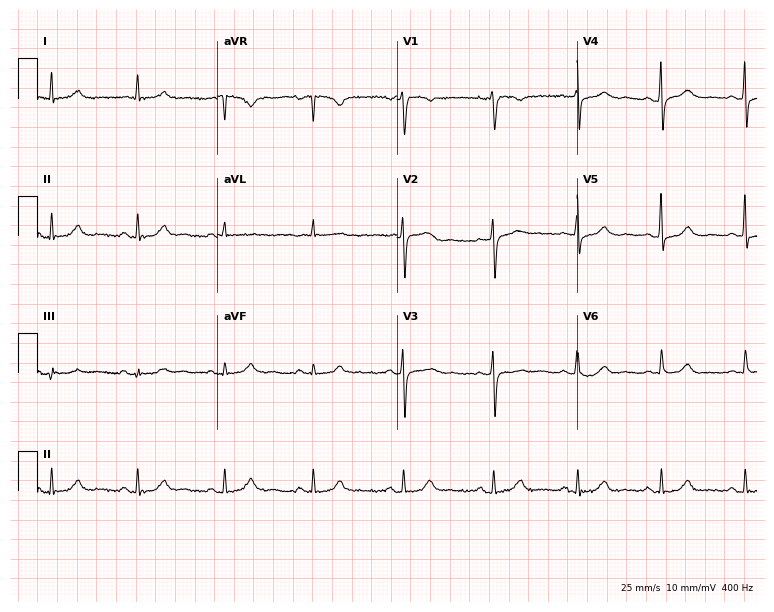
Resting 12-lead electrocardiogram. Patient: a female, 62 years old. None of these six findings is recorded: first-degree AV block, right bundle branch block, left bundle branch block, sinus bradycardia, atrial fibrillation, sinus tachycardia. Other findings, if any, are not listed.